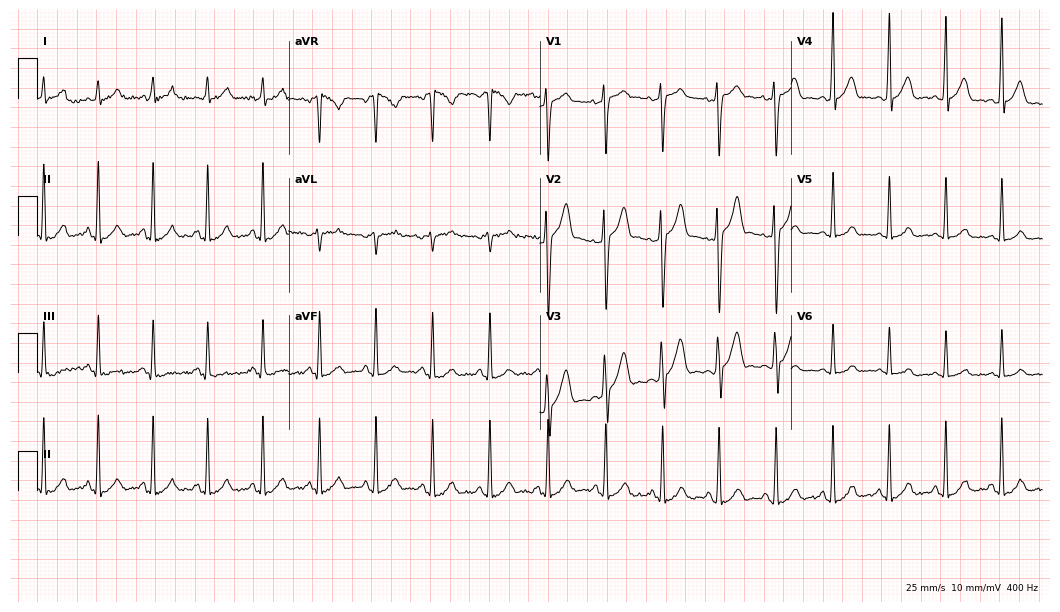
12-lead ECG (10.2-second recording at 400 Hz) from a 24-year-old male patient. Findings include sinus tachycardia (a sinus rate of 100 beats per minute or more).